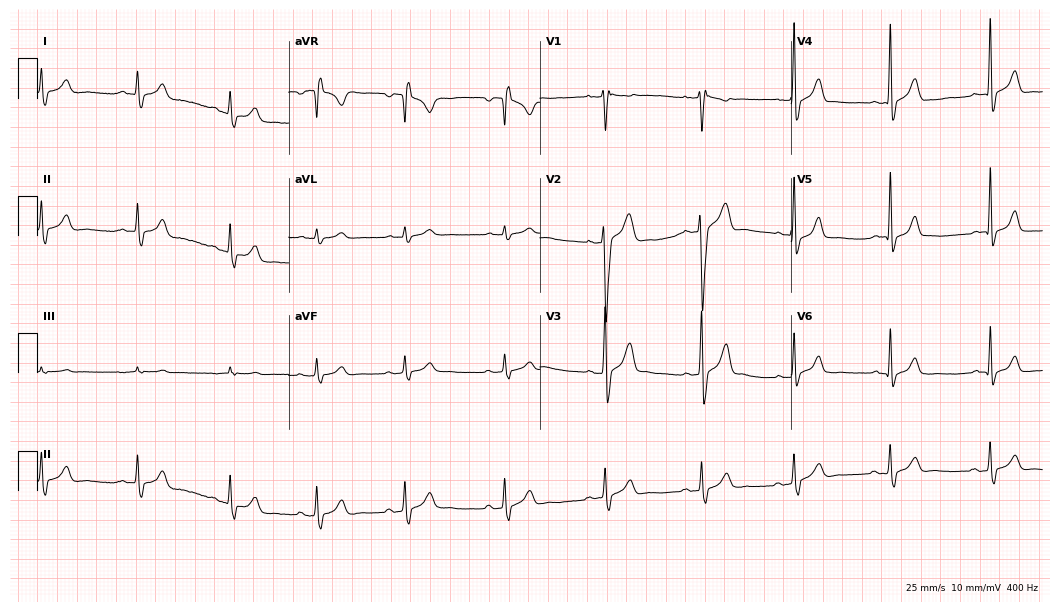
Resting 12-lead electrocardiogram. Patient: a male, 23 years old. None of these six findings is recorded: first-degree AV block, right bundle branch block, left bundle branch block, sinus bradycardia, atrial fibrillation, sinus tachycardia.